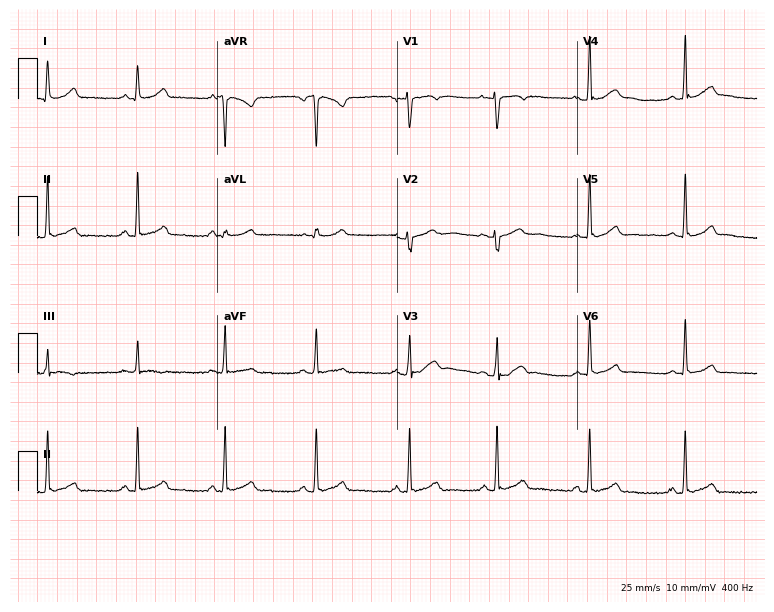
ECG (7.3-second recording at 400 Hz) — a female, 28 years old. Screened for six findings — first-degree AV block, right bundle branch block, left bundle branch block, sinus bradycardia, atrial fibrillation, sinus tachycardia — none is recorded. Other findings, if any, are not listed.